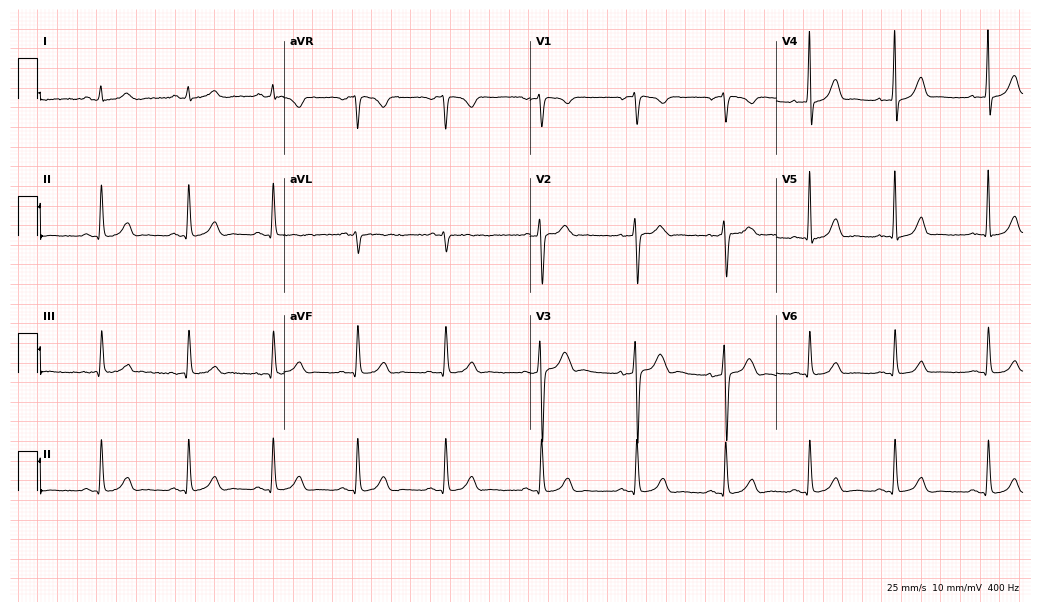
Resting 12-lead electrocardiogram (10-second recording at 400 Hz). Patient: a female, 27 years old. Read as a normal ECG.